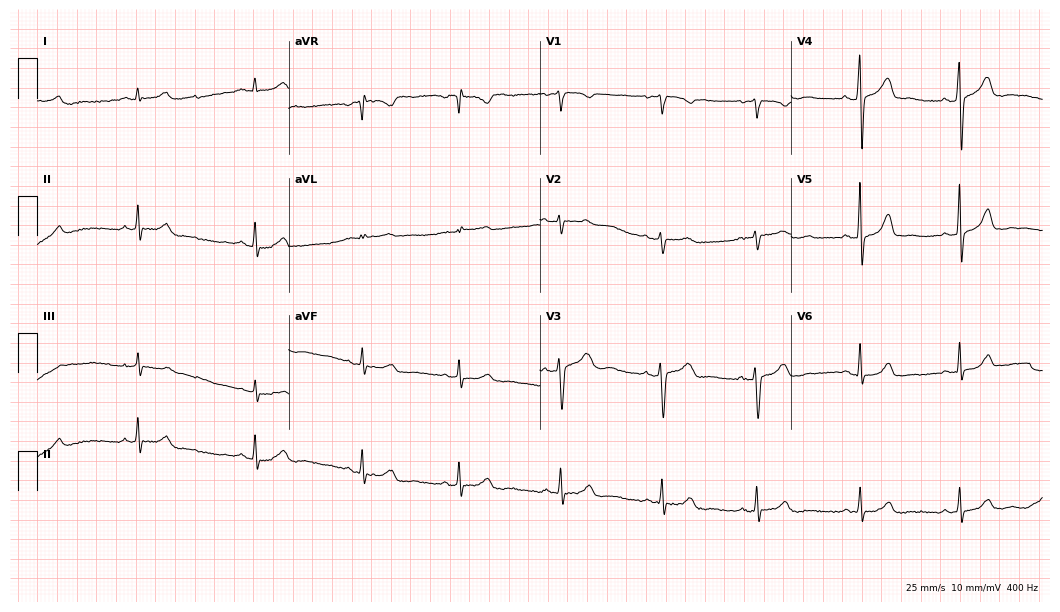
Standard 12-lead ECG recorded from a 20-year-old female patient. Read as a normal ECG.